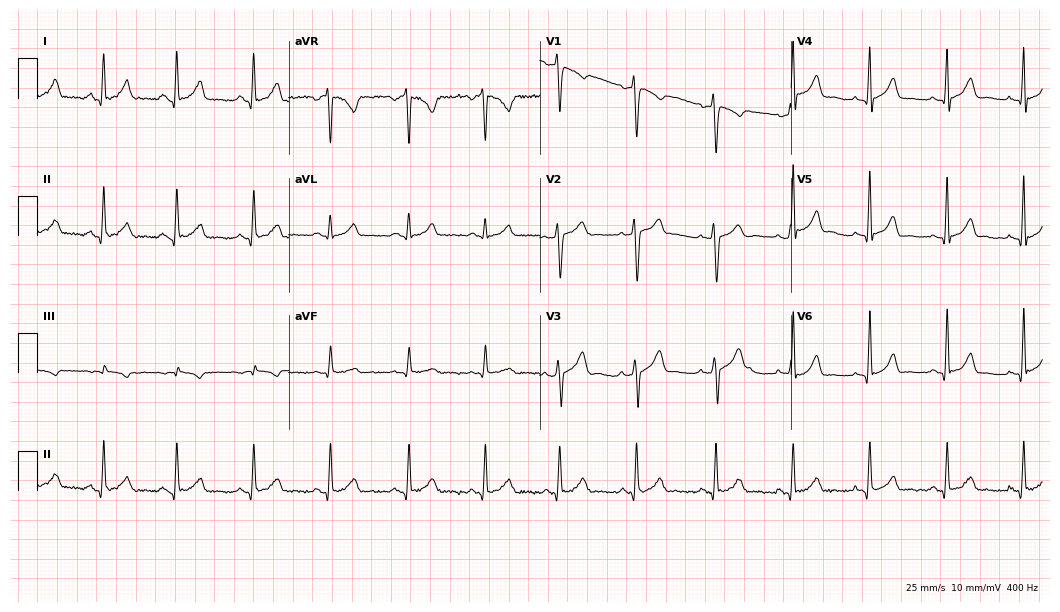
ECG — a female patient, 30 years old. Labelled as a normal ECG.